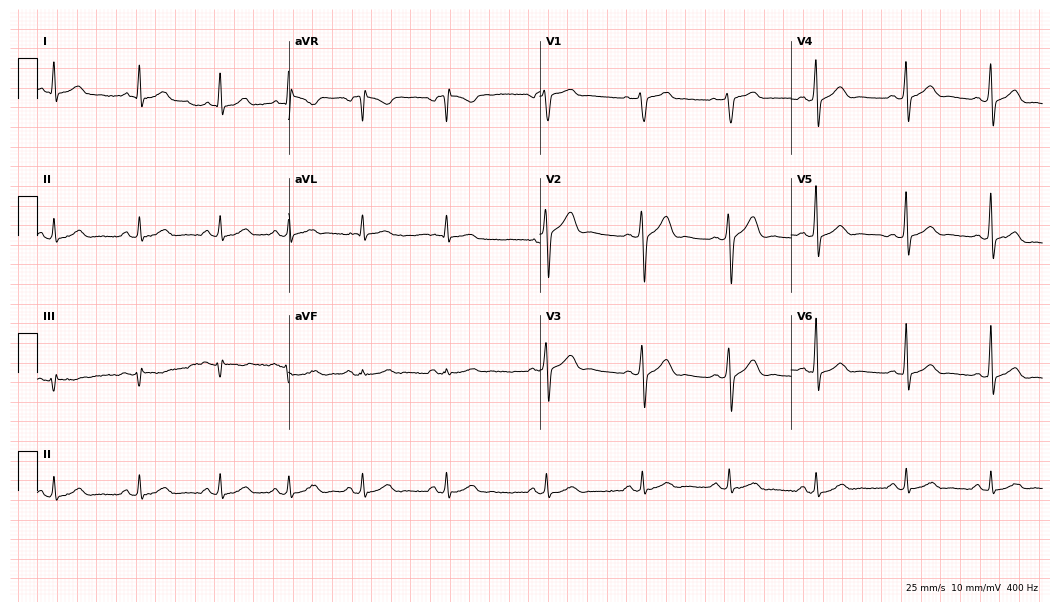
12-lead ECG from a 37-year-old male. Labelled as a normal ECG.